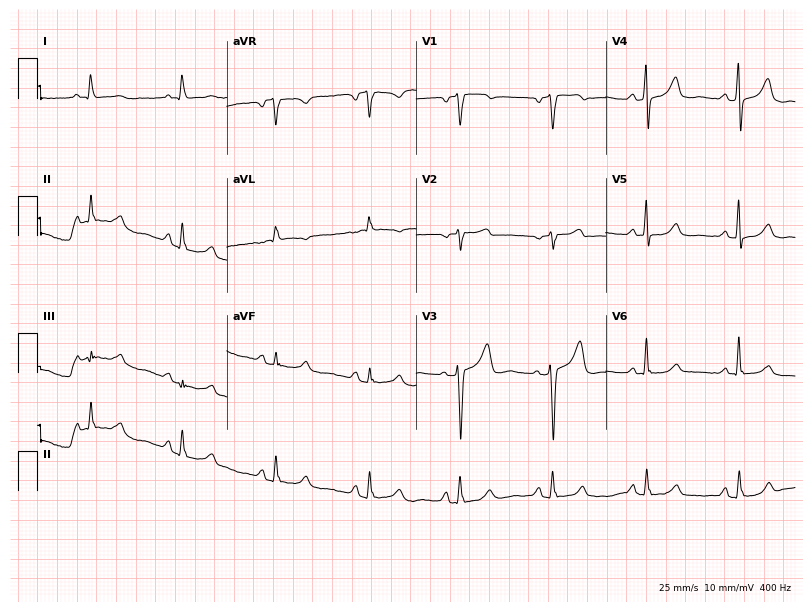
12-lead ECG (7.7-second recording at 400 Hz) from a 57-year-old female patient. Screened for six findings — first-degree AV block, right bundle branch block, left bundle branch block, sinus bradycardia, atrial fibrillation, sinus tachycardia — none is recorded.